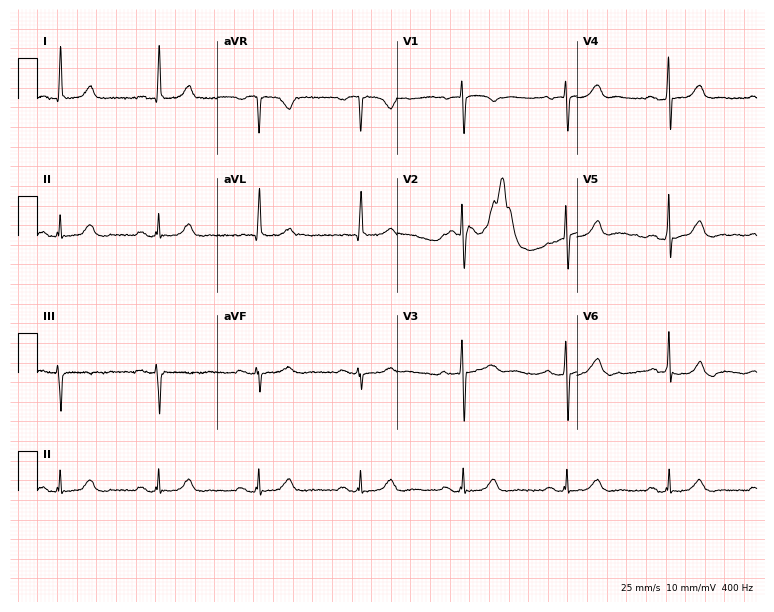
12-lead ECG from a female, 76 years old. Labelled as a normal ECG.